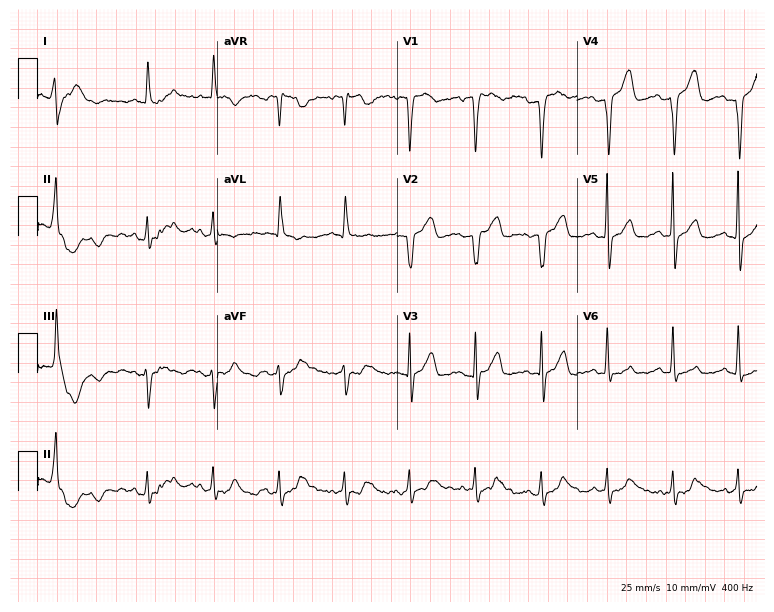
ECG (7.3-second recording at 400 Hz) — a 70-year-old female patient. Screened for six findings — first-degree AV block, right bundle branch block, left bundle branch block, sinus bradycardia, atrial fibrillation, sinus tachycardia — none is recorded.